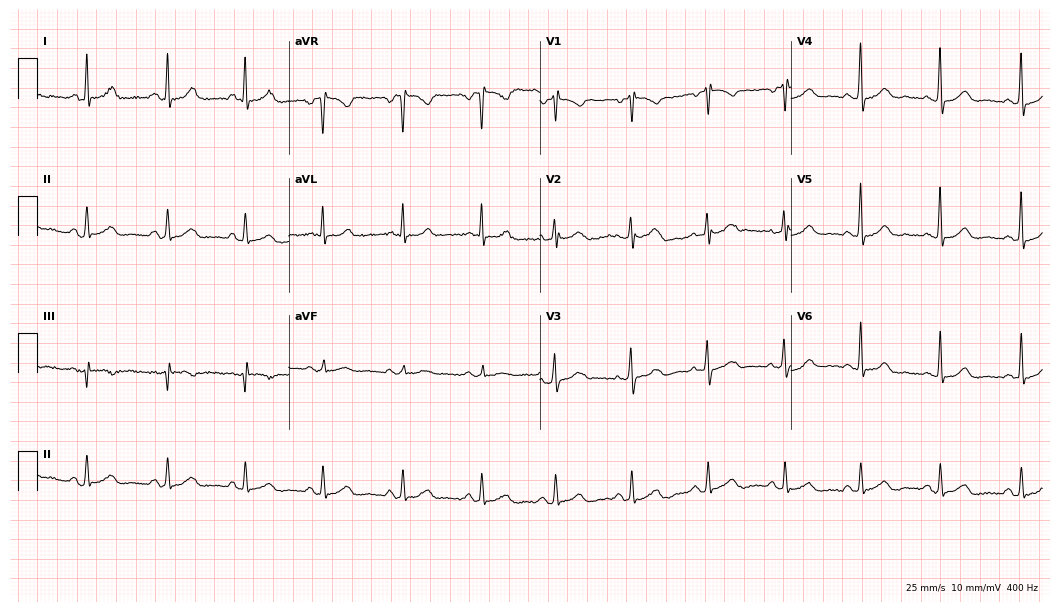
Resting 12-lead electrocardiogram (10.2-second recording at 400 Hz). Patient: a female, 46 years old. Read as a normal ECG.